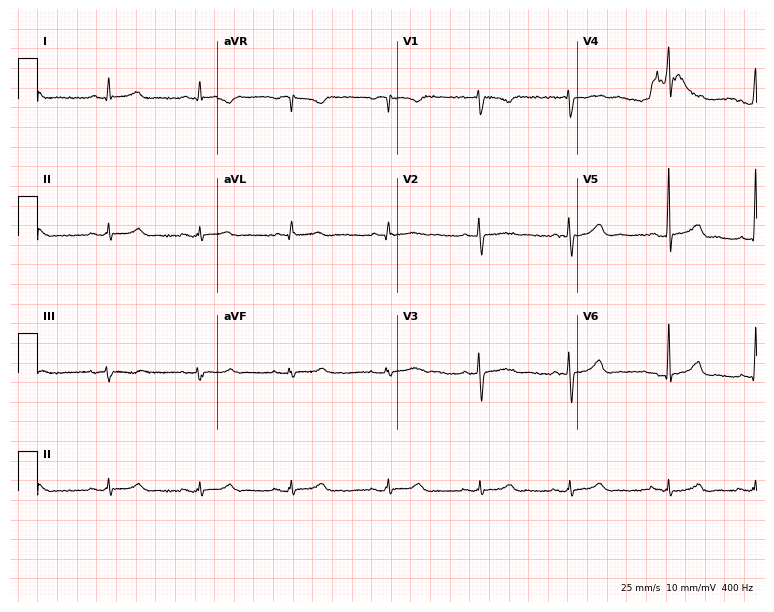
ECG — a woman, 26 years old. Screened for six findings — first-degree AV block, right bundle branch block, left bundle branch block, sinus bradycardia, atrial fibrillation, sinus tachycardia — none is recorded. Other findings, if any, are not listed.